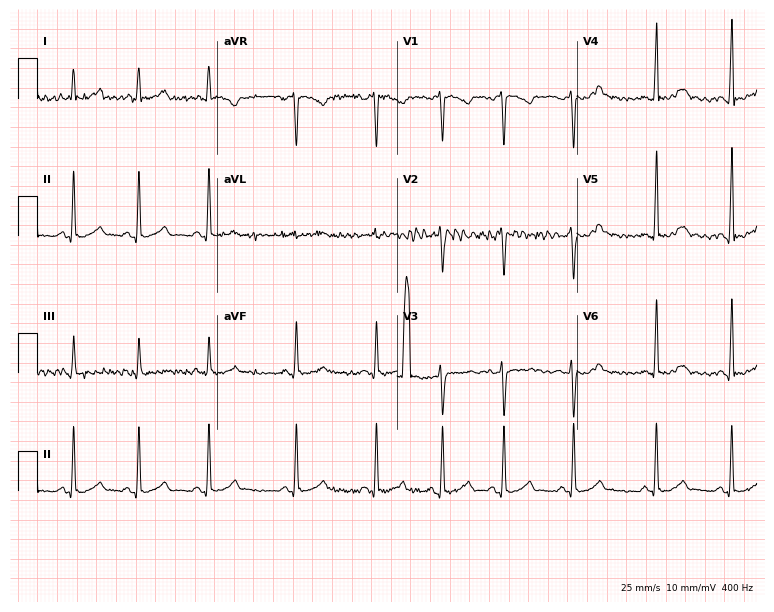
Standard 12-lead ECG recorded from a female patient, 25 years old. None of these six findings is recorded: first-degree AV block, right bundle branch block, left bundle branch block, sinus bradycardia, atrial fibrillation, sinus tachycardia. Only these six findings were labelled.